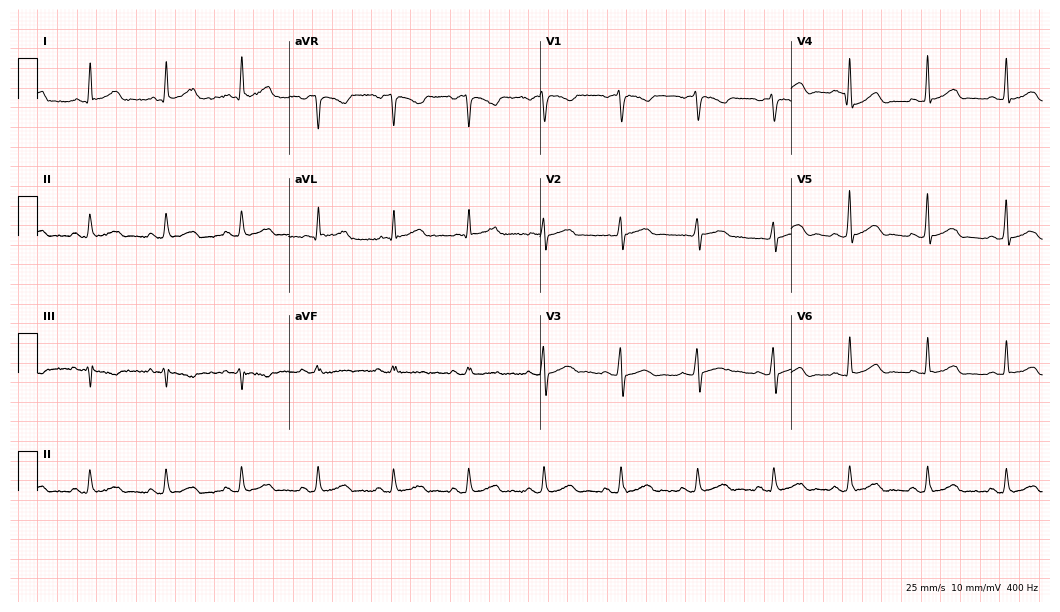
Resting 12-lead electrocardiogram. Patient: a 50-year-old male. Read as a normal ECG.